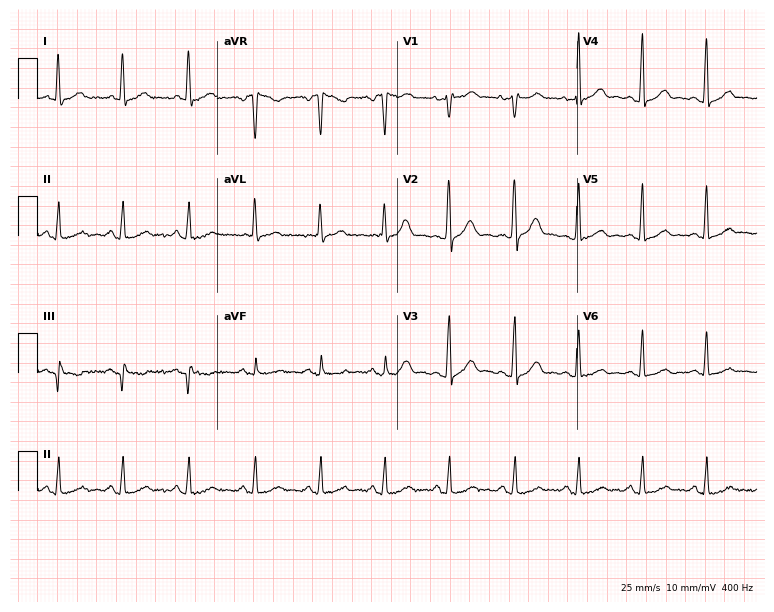
Electrocardiogram (7.3-second recording at 400 Hz), a man, 49 years old. Overall reading on record: normal ECG.